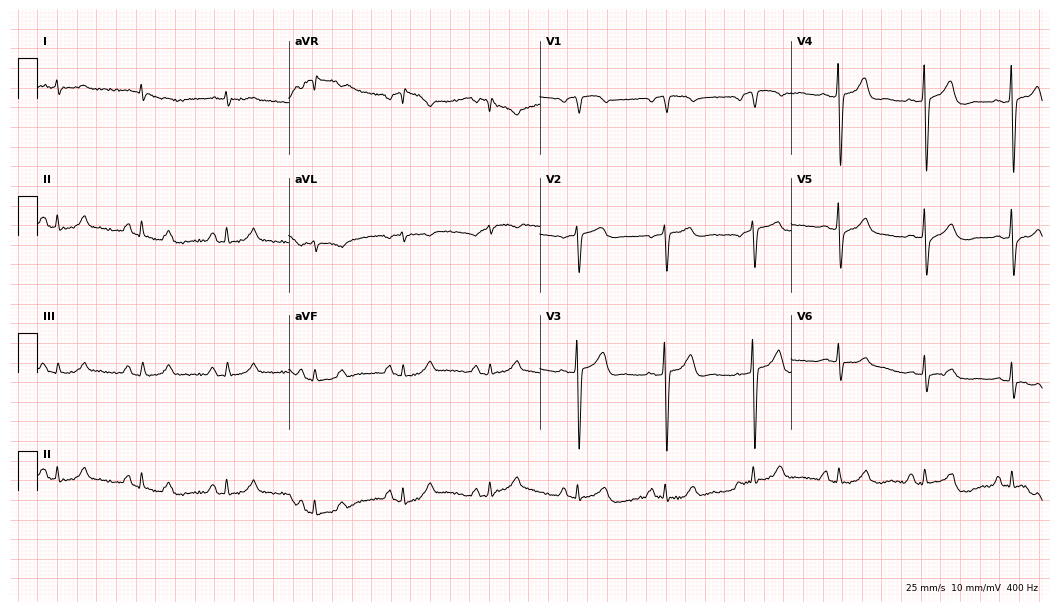
Electrocardiogram (10.2-second recording at 400 Hz), an 80-year-old man. Overall reading on record: normal ECG.